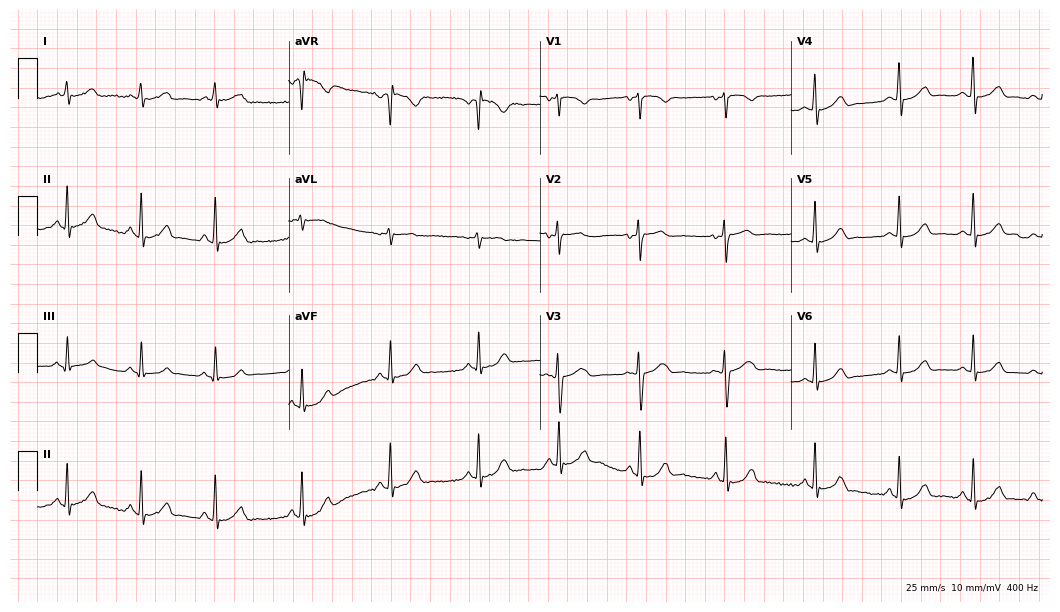
Resting 12-lead electrocardiogram (10.2-second recording at 400 Hz). Patient: a woman, 20 years old. Read as a normal ECG.